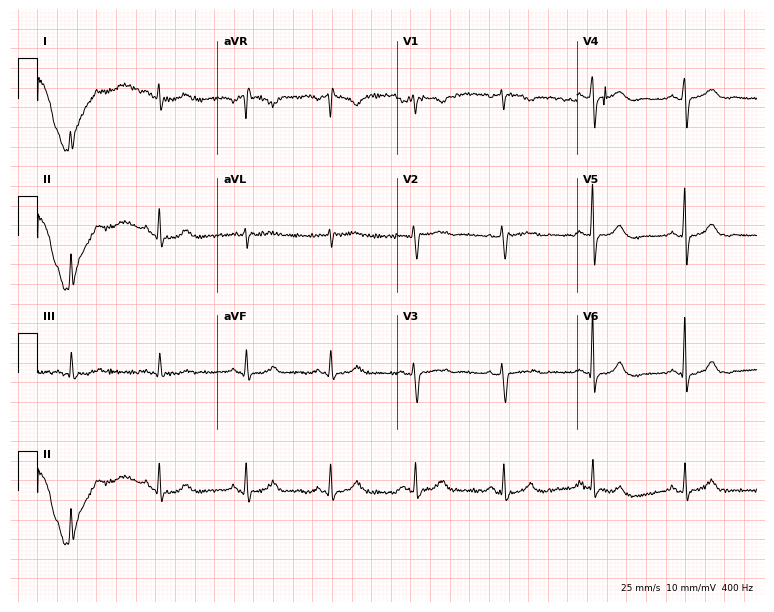
Resting 12-lead electrocardiogram (7.3-second recording at 400 Hz). Patient: a woman, 47 years old. Read as a normal ECG.